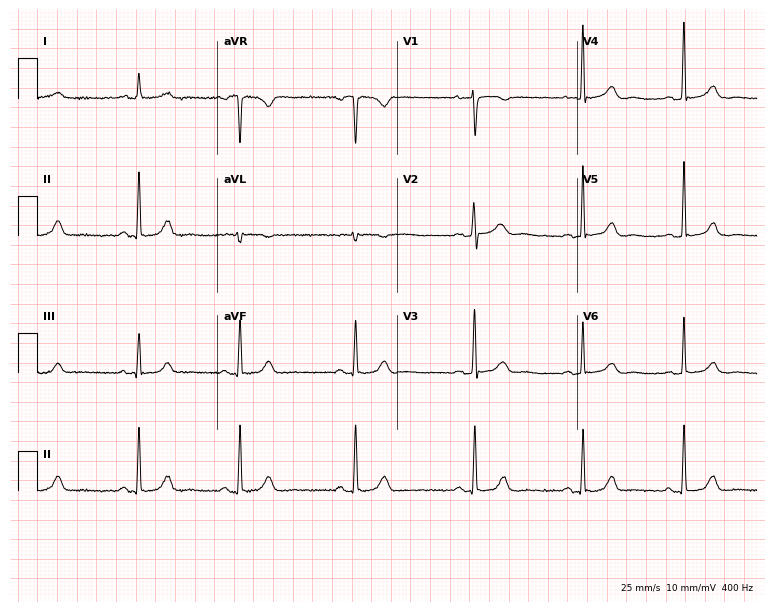
Resting 12-lead electrocardiogram (7.3-second recording at 400 Hz). Patient: a 34-year-old woman. None of these six findings is recorded: first-degree AV block, right bundle branch block, left bundle branch block, sinus bradycardia, atrial fibrillation, sinus tachycardia. Only these six findings were labelled.